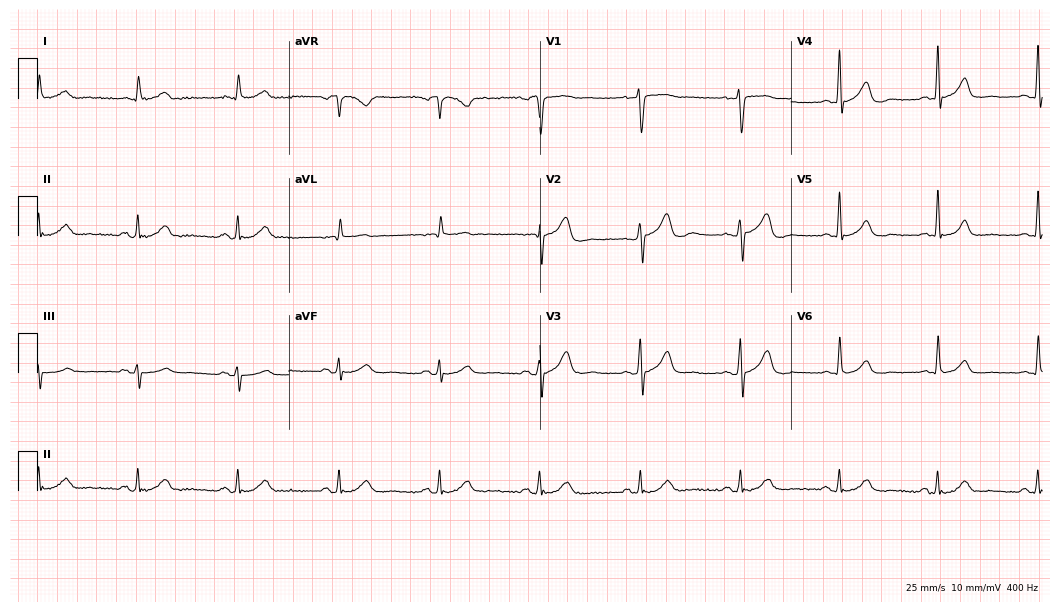
12-lead ECG from a male patient, 66 years old (10.2-second recording at 400 Hz). Recorded interpretation: within normal limits.